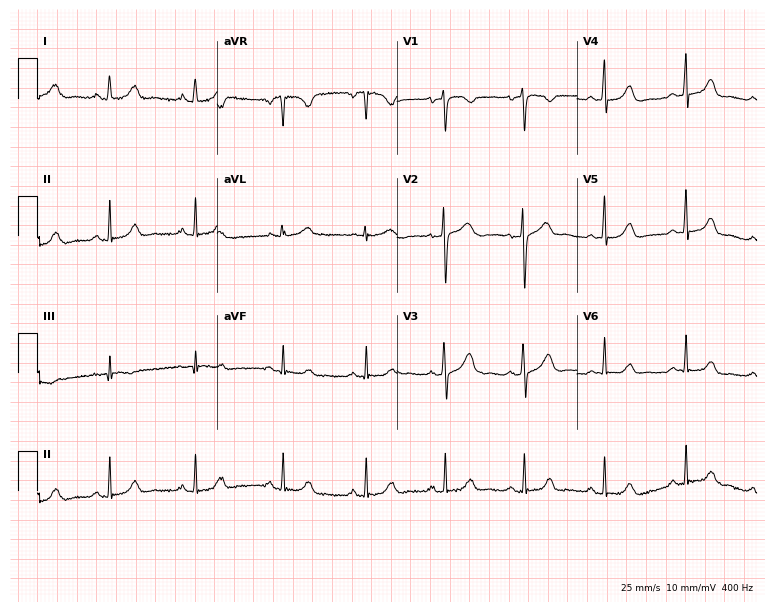
Resting 12-lead electrocardiogram. Patient: a 46-year-old female. None of these six findings is recorded: first-degree AV block, right bundle branch block, left bundle branch block, sinus bradycardia, atrial fibrillation, sinus tachycardia. Other findings, if any, are not listed.